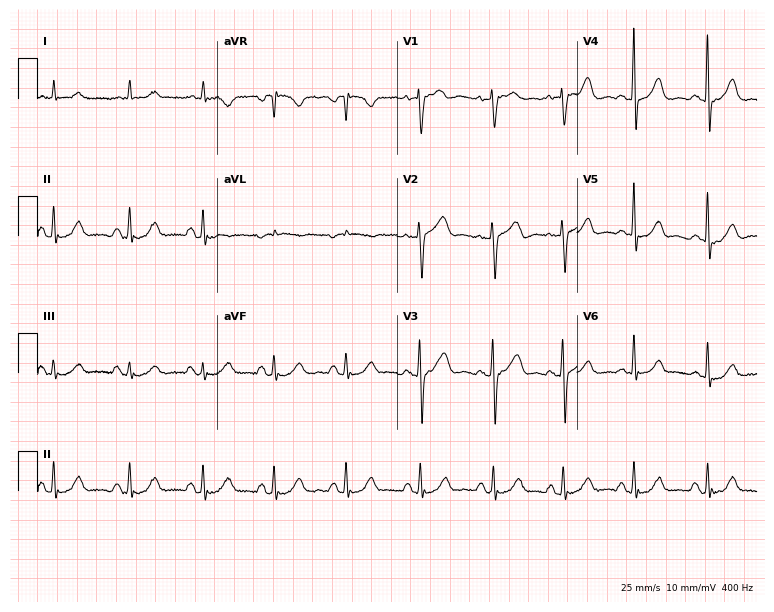
12-lead ECG (7.3-second recording at 400 Hz) from a female, 73 years old. Screened for six findings — first-degree AV block, right bundle branch block, left bundle branch block, sinus bradycardia, atrial fibrillation, sinus tachycardia — none is recorded. Findings outside these six are not listed.